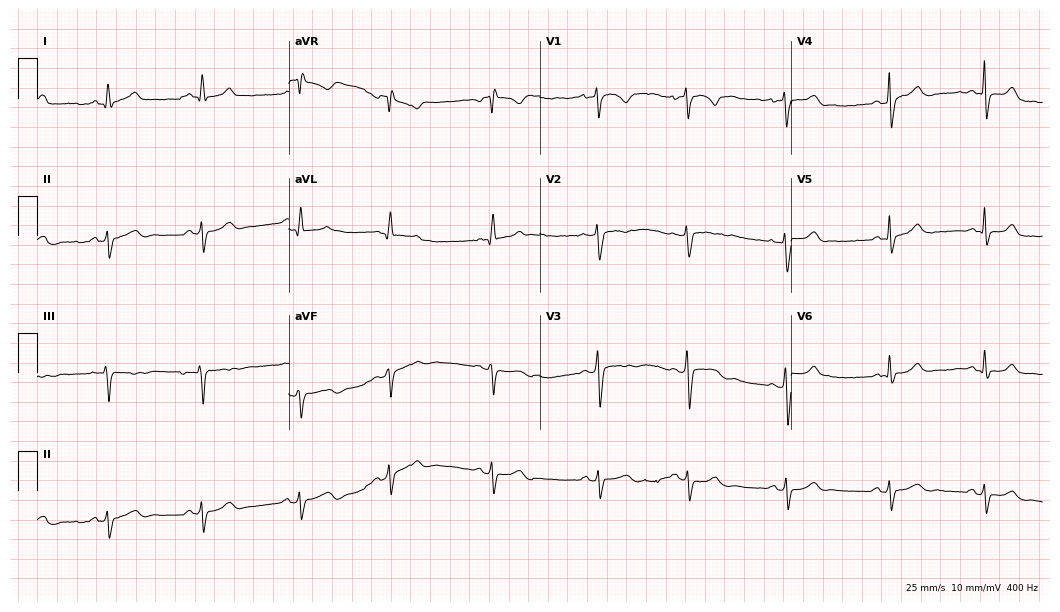
ECG (10.2-second recording at 400 Hz) — a female, 26 years old. Labelled as a normal ECG.